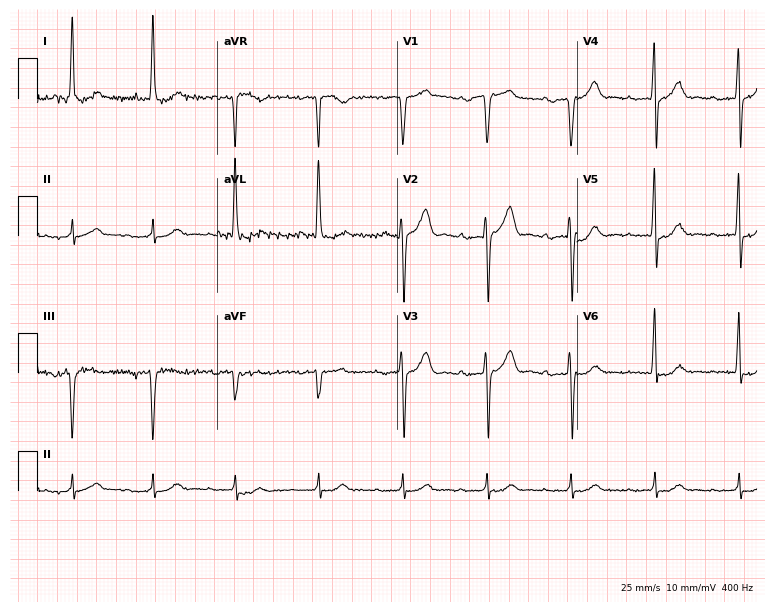
Electrocardiogram, a 76-year-old male. Overall reading on record: normal ECG.